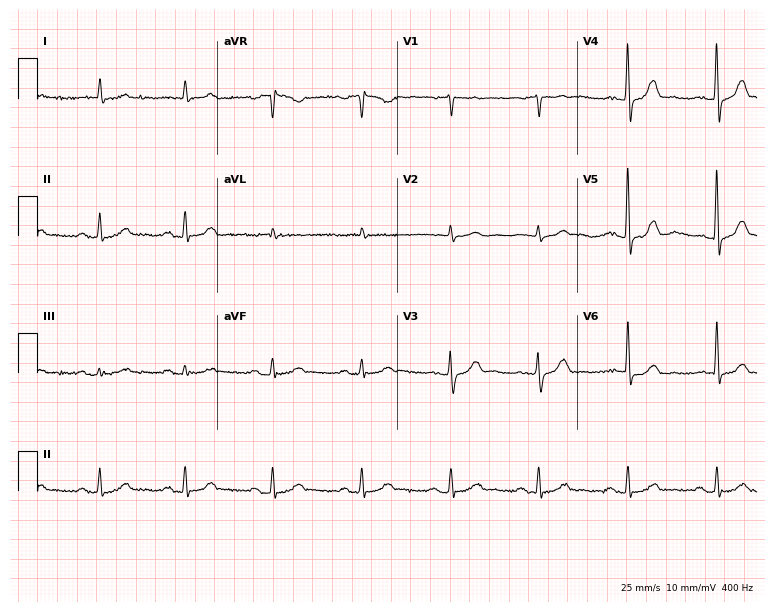
ECG (7.3-second recording at 400 Hz) — an 83-year-old man. Labelled as a normal ECG.